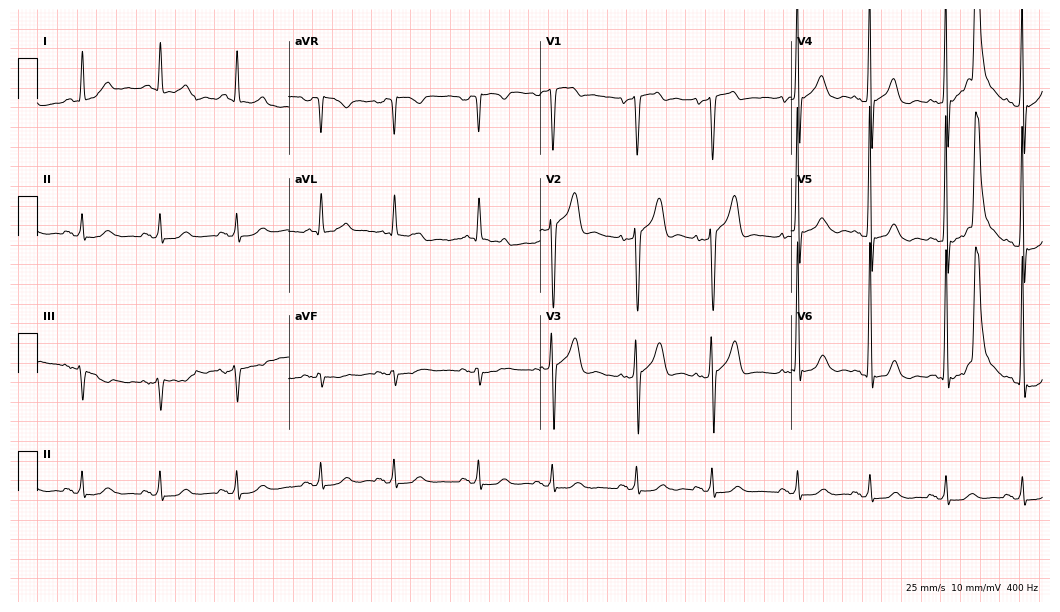
Electrocardiogram, a male, 60 years old. Overall reading on record: normal ECG.